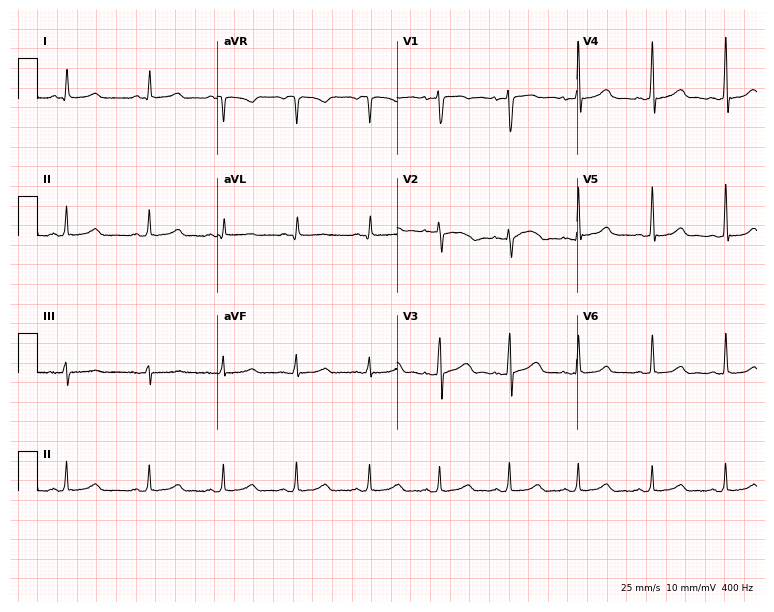
Electrocardiogram, a female patient, 23 years old. Of the six screened findings (first-degree AV block, right bundle branch block (RBBB), left bundle branch block (LBBB), sinus bradycardia, atrial fibrillation (AF), sinus tachycardia), none is recorded. Other findings, if any, are not listed.